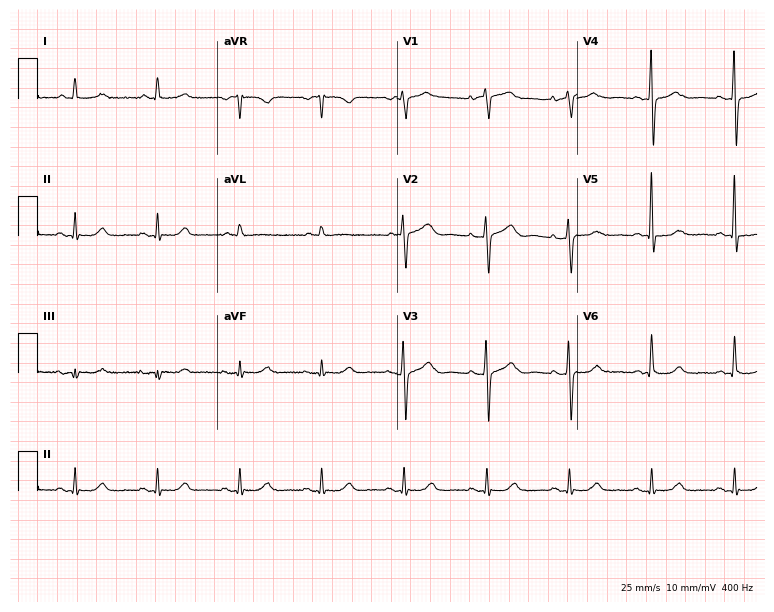
Electrocardiogram (7.3-second recording at 400 Hz), a 66-year-old female patient. Of the six screened findings (first-degree AV block, right bundle branch block, left bundle branch block, sinus bradycardia, atrial fibrillation, sinus tachycardia), none is recorded.